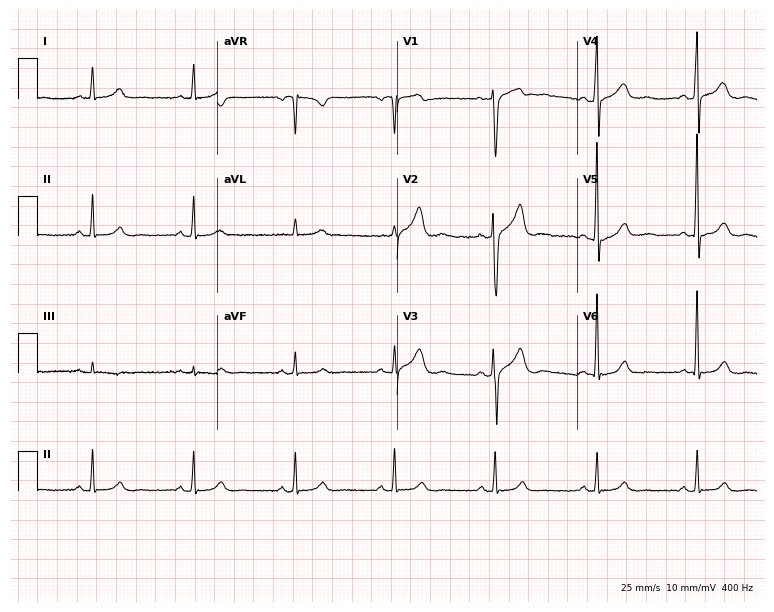
Resting 12-lead electrocardiogram. Patient: a 57-year-old male. Read as a normal ECG.